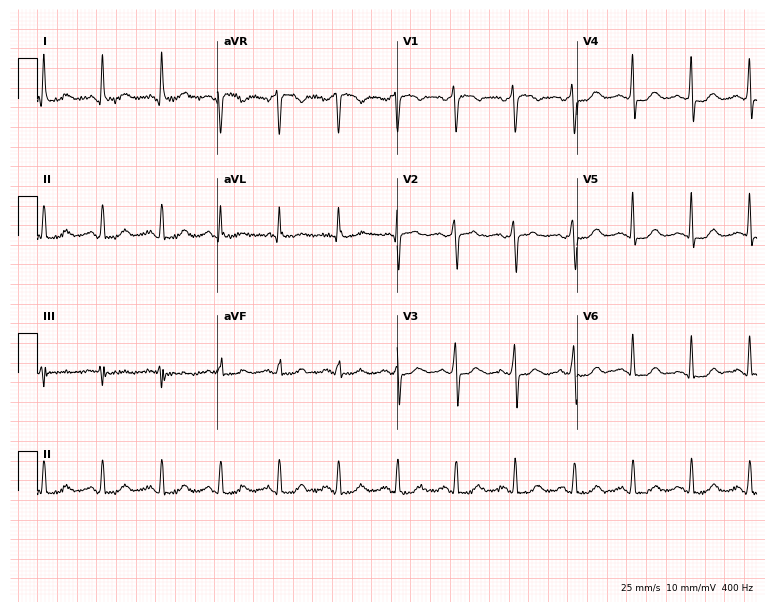
ECG — a female, 34 years old. Screened for six findings — first-degree AV block, right bundle branch block, left bundle branch block, sinus bradycardia, atrial fibrillation, sinus tachycardia — none is recorded. Other findings, if any, are not listed.